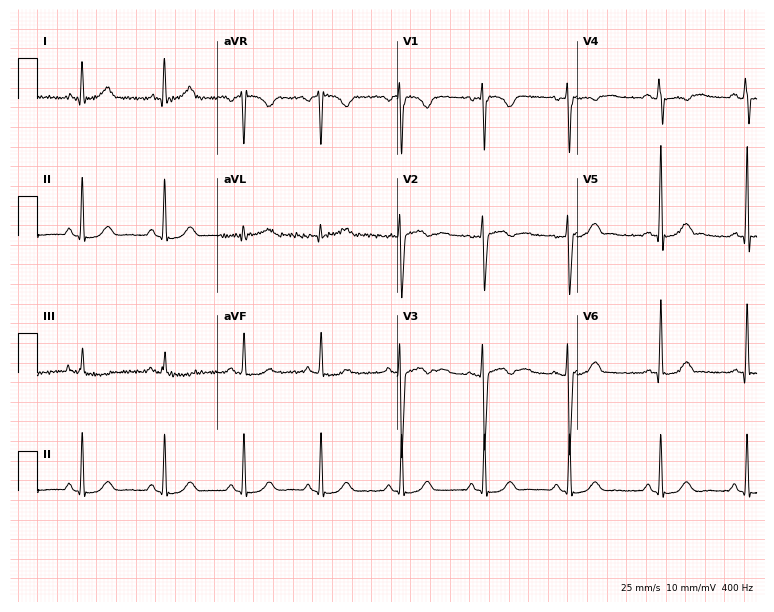
ECG — a female patient, 25 years old. Screened for six findings — first-degree AV block, right bundle branch block (RBBB), left bundle branch block (LBBB), sinus bradycardia, atrial fibrillation (AF), sinus tachycardia — none is recorded.